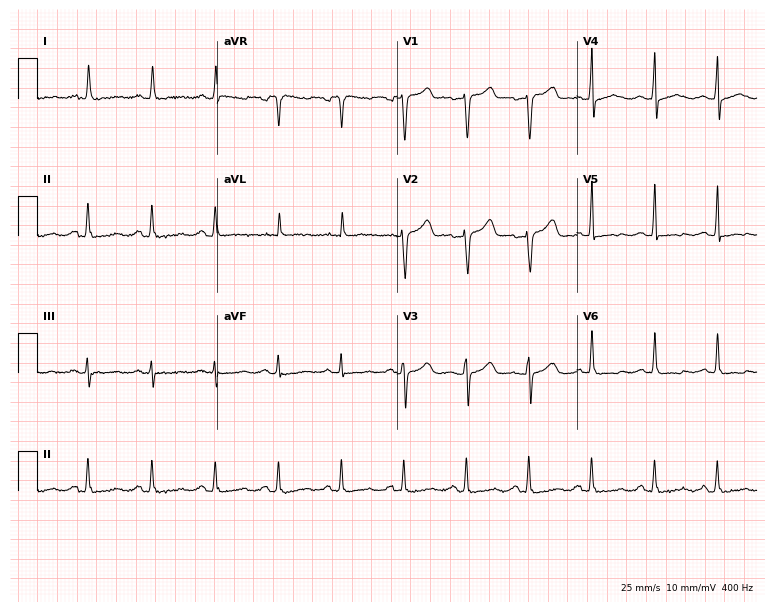
Standard 12-lead ECG recorded from a 77-year-old female. None of these six findings is recorded: first-degree AV block, right bundle branch block (RBBB), left bundle branch block (LBBB), sinus bradycardia, atrial fibrillation (AF), sinus tachycardia. Findings outside these six are not listed.